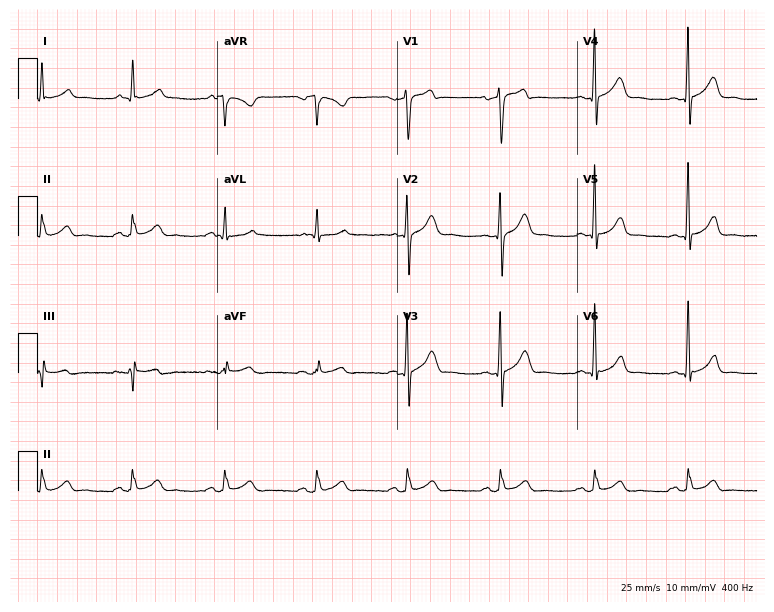
Electrocardiogram, a male patient, 55 years old. Overall reading on record: normal ECG.